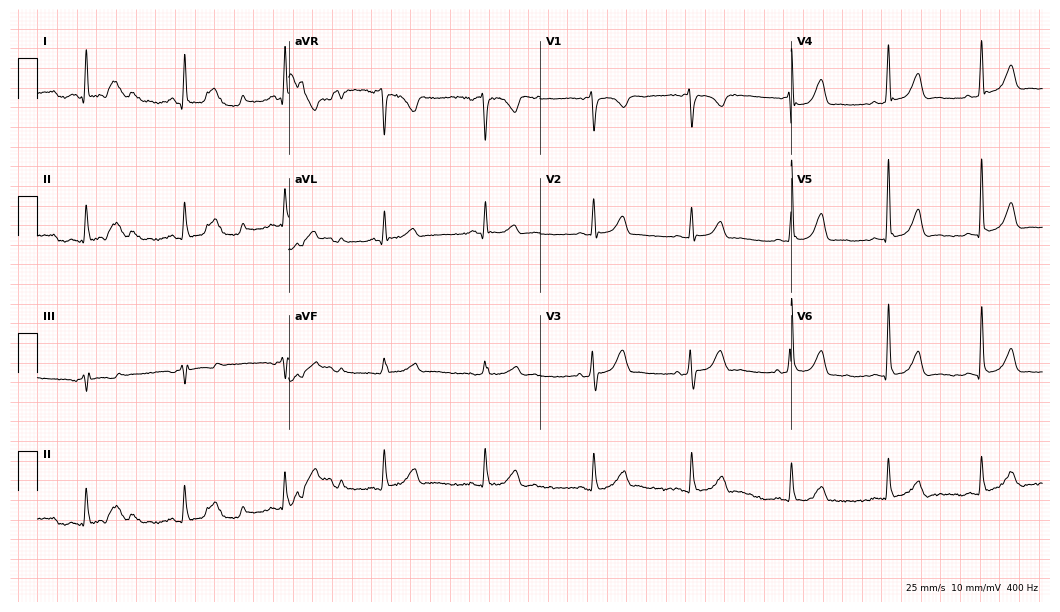
Electrocardiogram, a 68-year-old woman. Overall reading on record: normal ECG.